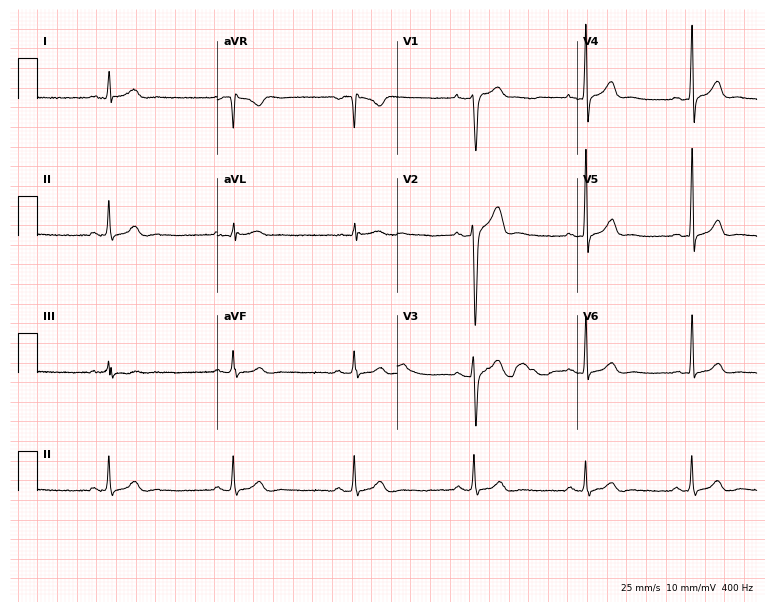
12-lead ECG from a male, 23 years old. No first-degree AV block, right bundle branch block, left bundle branch block, sinus bradycardia, atrial fibrillation or sinus tachycardia recorded for this tracing. Other findings, if any, are not listed.